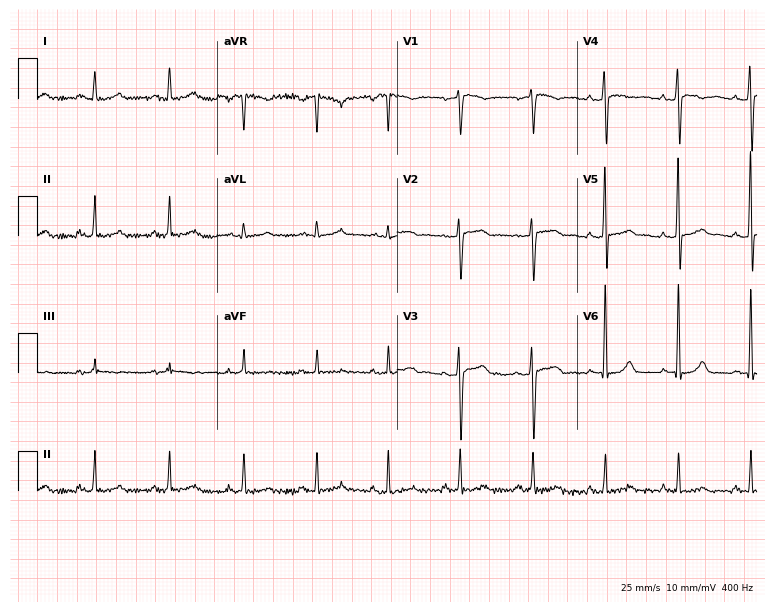
ECG (7.3-second recording at 400 Hz) — a male patient, 38 years old. Labelled as a normal ECG.